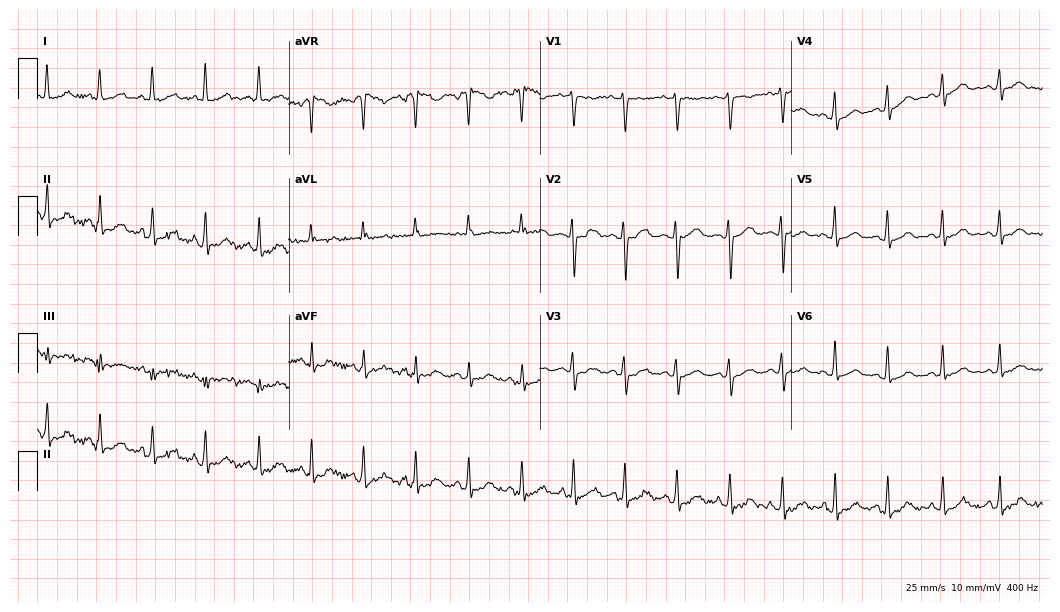
Resting 12-lead electrocardiogram (10.2-second recording at 400 Hz). Patient: a woman, 20 years old. None of these six findings is recorded: first-degree AV block, right bundle branch block, left bundle branch block, sinus bradycardia, atrial fibrillation, sinus tachycardia.